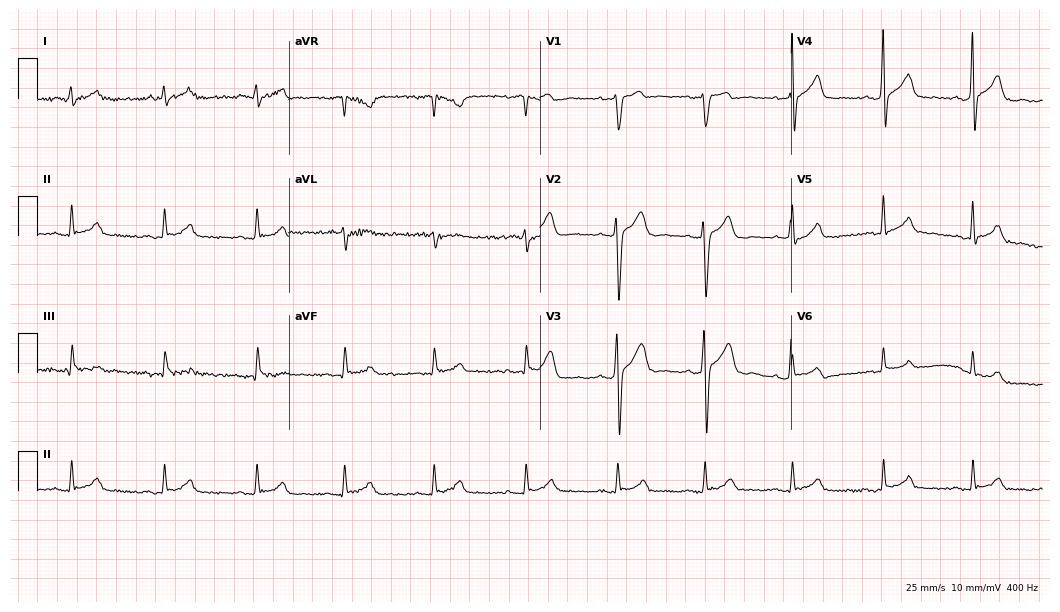
12-lead ECG from a man, 48 years old. Labelled as a normal ECG.